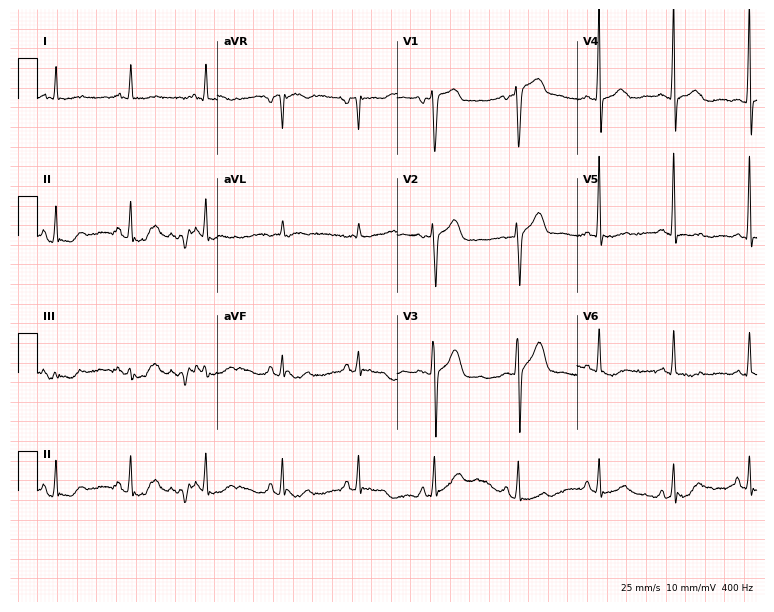
12-lead ECG from a 69-year-old man. No first-degree AV block, right bundle branch block, left bundle branch block, sinus bradycardia, atrial fibrillation or sinus tachycardia recorded for this tracing. Only these six findings were labelled.